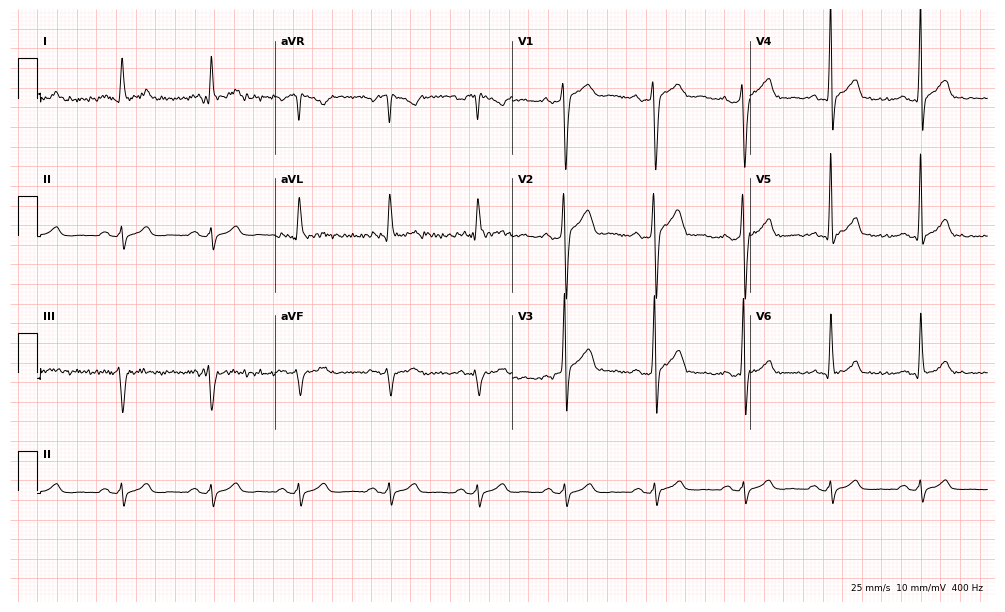
Standard 12-lead ECG recorded from a 37-year-old man (9.7-second recording at 400 Hz). None of these six findings is recorded: first-degree AV block, right bundle branch block, left bundle branch block, sinus bradycardia, atrial fibrillation, sinus tachycardia. Only these six findings were labelled.